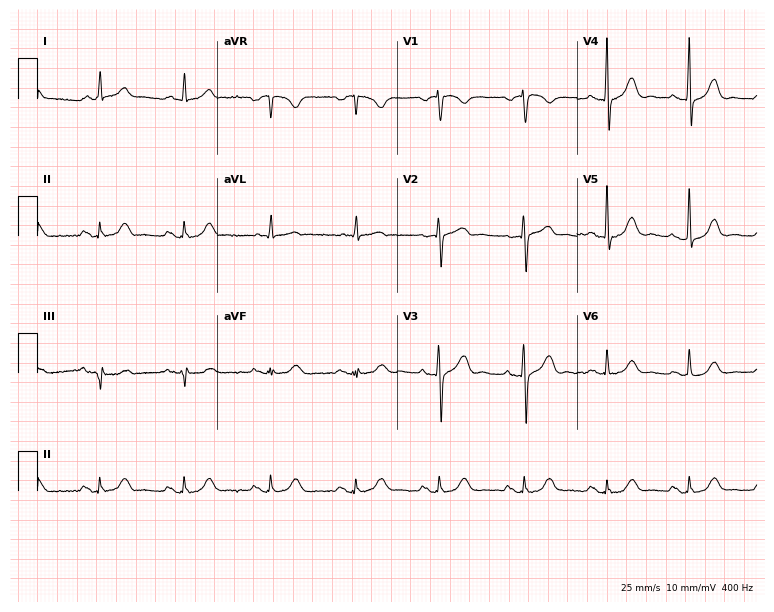
Electrocardiogram, a 77-year-old male patient. Of the six screened findings (first-degree AV block, right bundle branch block, left bundle branch block, sinus bradycardia, atrial fibrillation, sinus tachycardia), none is recorded. Findings outside these six are not listed.